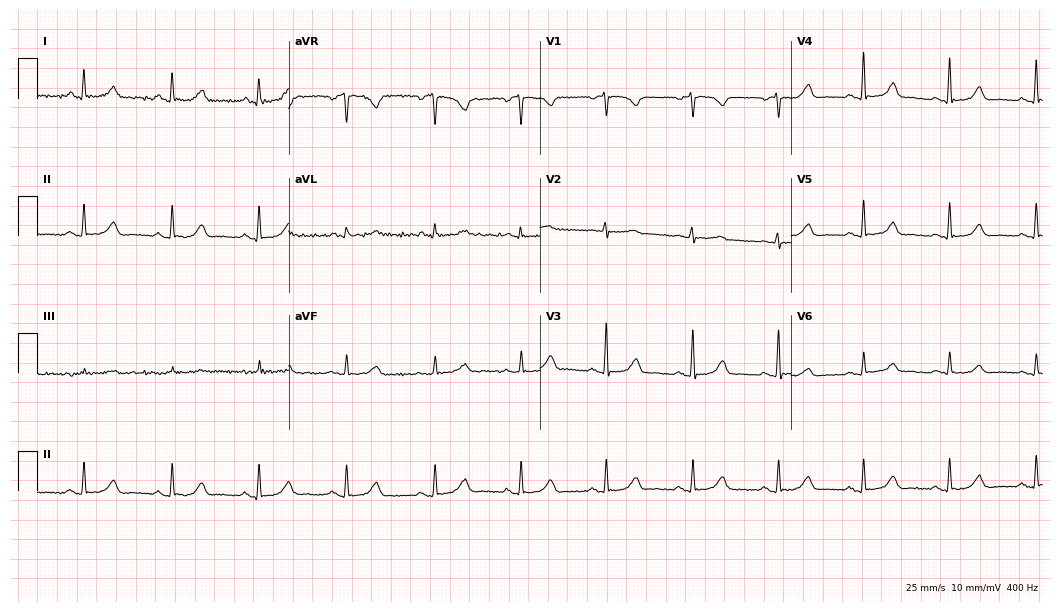
Electrocardiogram, a 62-year-old woman. Overall reading on record: normal ECG.